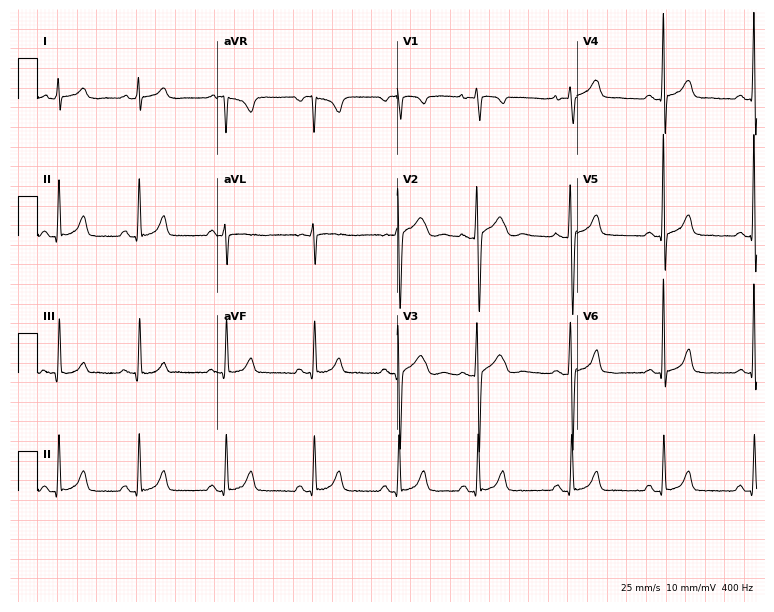
Standard 12-lead ECG recorded from a 33-year-old female (7.3-second recording at 400 Hz). None of these six findings is recorded: first-degree AV block, right bundle branch block, left bundle branch block, sinus bradycardia, atrial fibrillation, sinus tachycardia. Other findings, if any, are not listed.